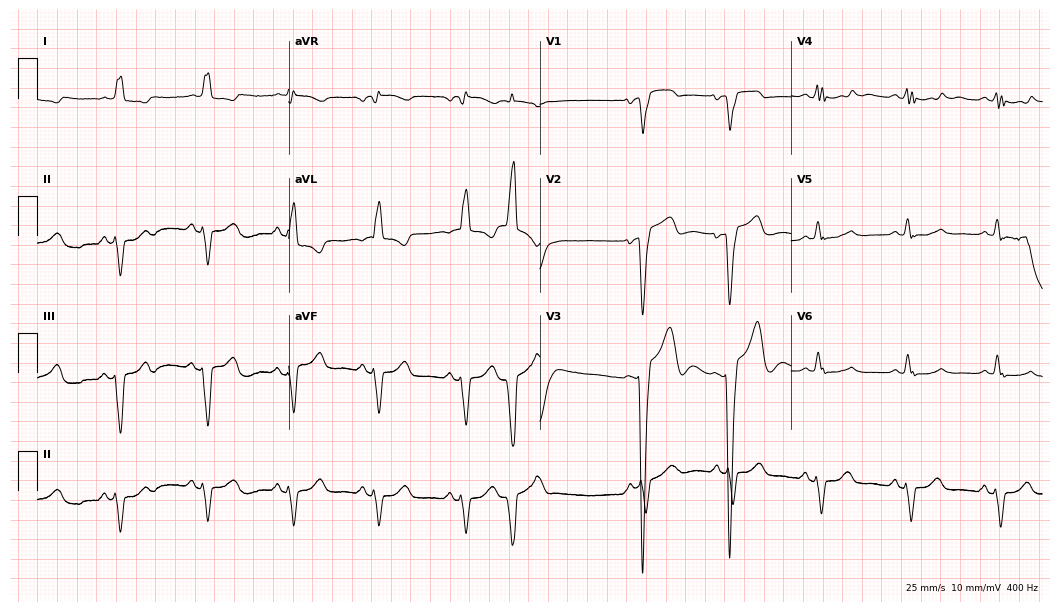
Standard 12-lead ECG recorded from a woman, 77 years old (10.2-second recording at 400 Hz). The tracing shows left bundle branch block.